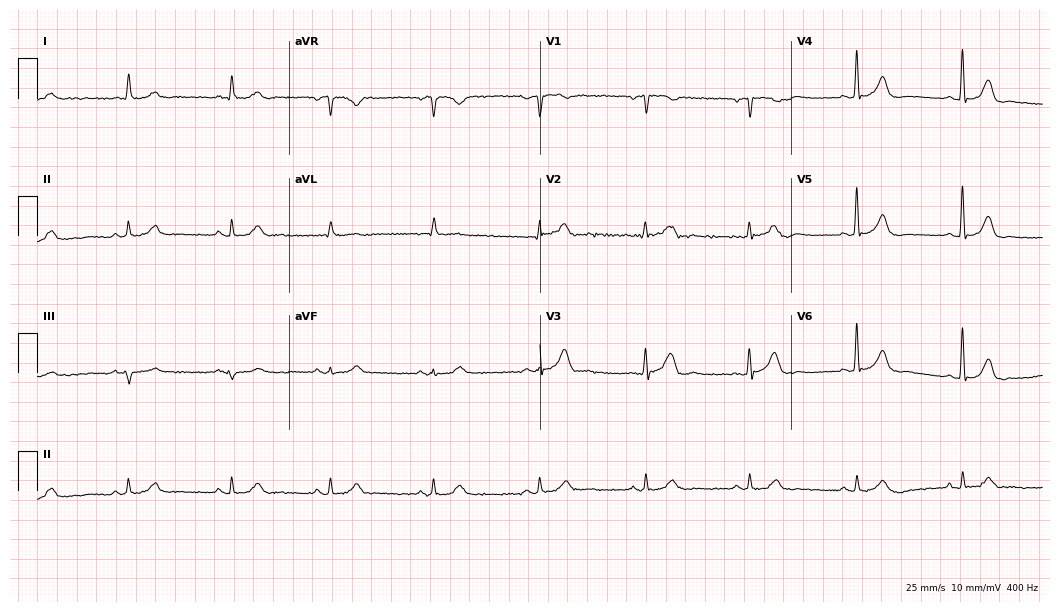
12-lead ECG from a 66-year-old male patient (10.2-second recording at 400 Hz). Recorded interpretation: within normal limits.